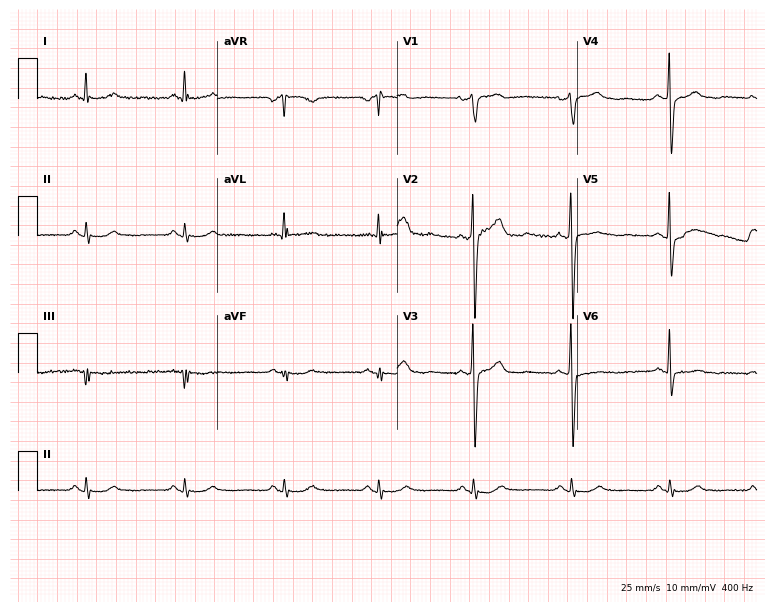
Standard 12-lead ECG recorded from a male patient, 49 years old (7.3-second recording at 400 Hz). None of these six findings is recorded: first-degree AV block, right bundle branch block, left bundle branch block, sinus bradycardia, atrial fibrillation, sinus tachycardia. Findings outside these six are not listed.